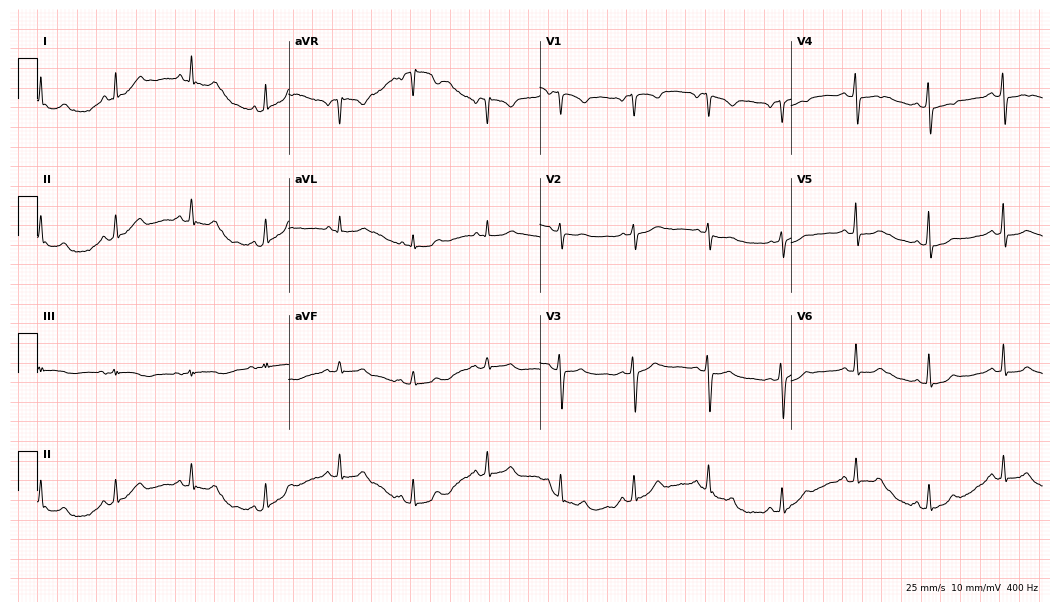
Electrocardiogram (10.2-second recording at 400 Hz), a 51-year-old female patient. Overall reading on record: normal ECG.